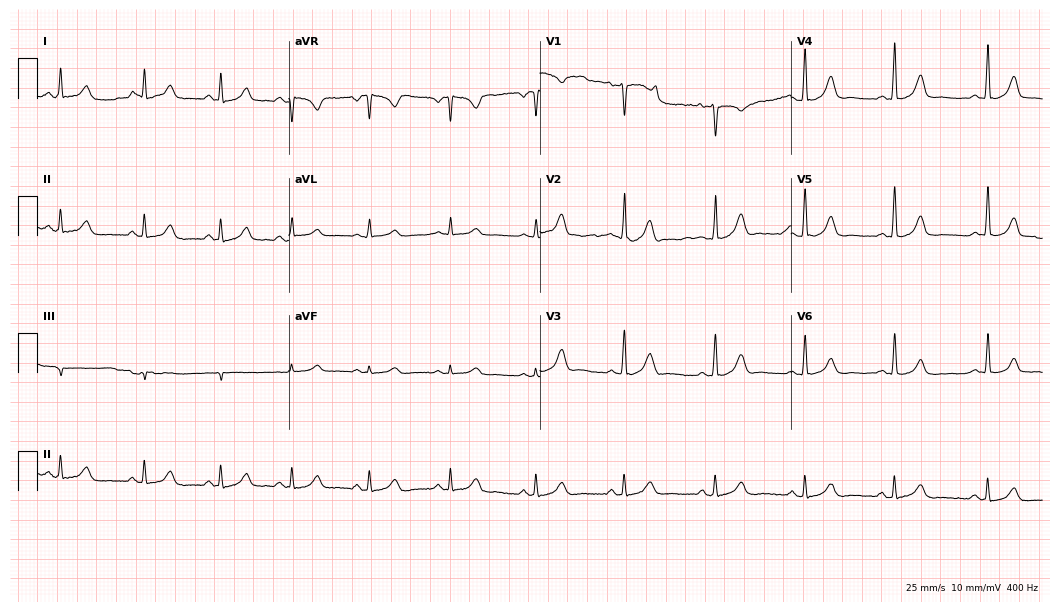
Standard 12-lead ECG recorded from a female patient, 50 years old. Read as a normal ECG.